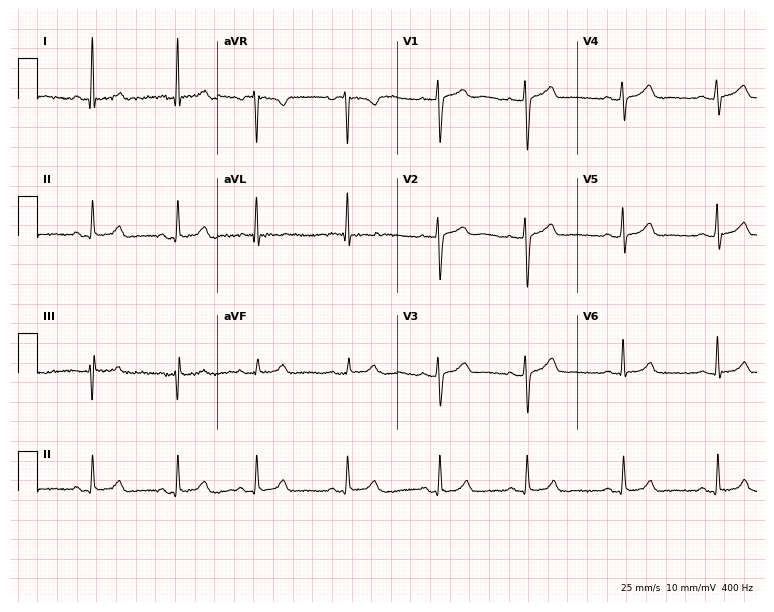
12-lead ECG from a 38-year-old female patient (7.3-second recording at 400 Hz). Recorded interpretation: within normal limits.